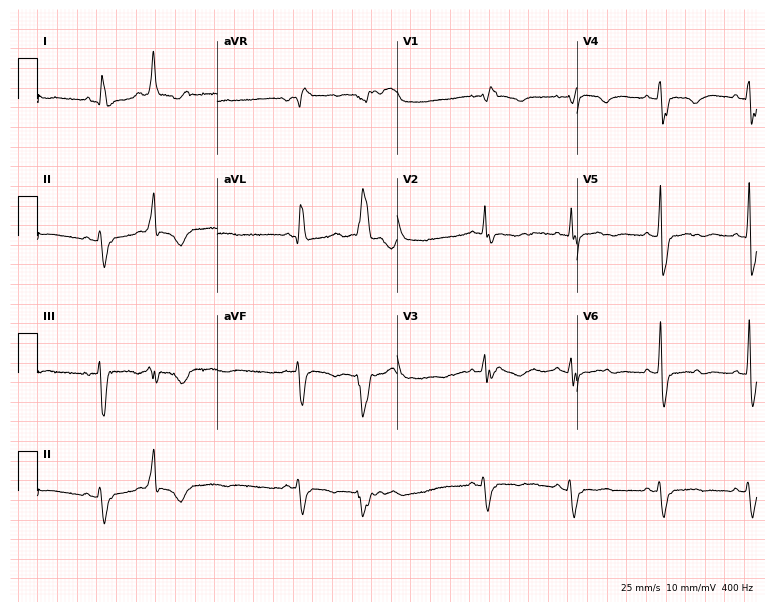
Resting 12-lead electrocardiogram. Patient: a 71-year-old female. None of these six findings is recorded: first-degree AV block, right bundle branch block, left bundle branch block, sinus bradycardia, atrial fibrillation, sinus tachycardia.